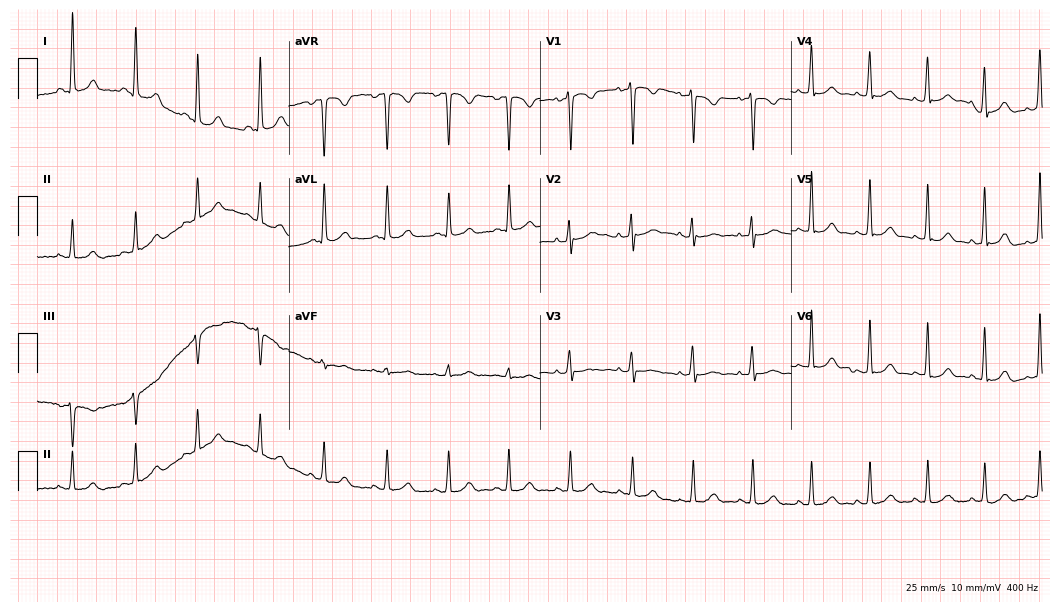
Standard 12-lead ECG recorded from a woman, 26 years old. None of these six findings is recorded: first-degree AV block, right bundle branch block (RBBB), left bundle branch block (LBBB), sinus bradycardia, atrial fibrillation (AF), sinus tachycardia.